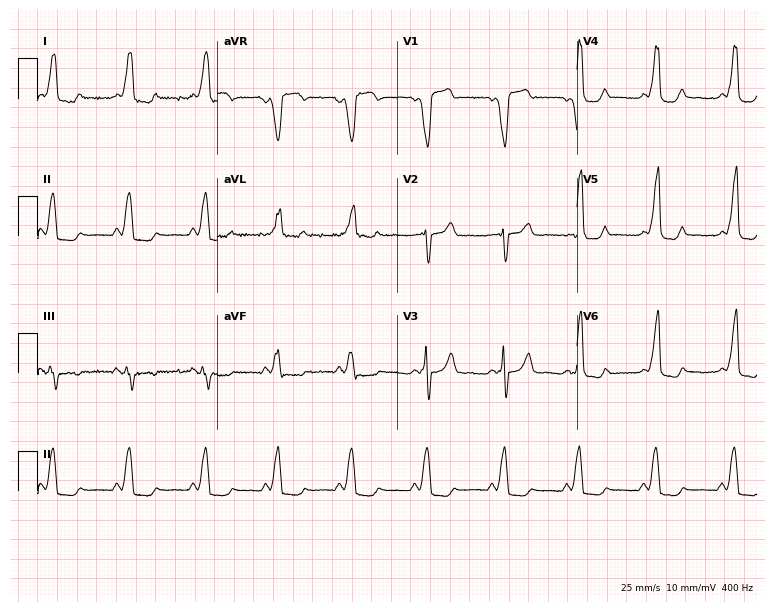
Electrocardiogram (7.3-second recording at 400 Hz), a female patient, 21 years old. Of the six screened findings (first-degree AV block, right bundle branch block, left bundle branch block, sinus bradycardia, atrial fibrillation, sinus tachycardia), none is recorded.